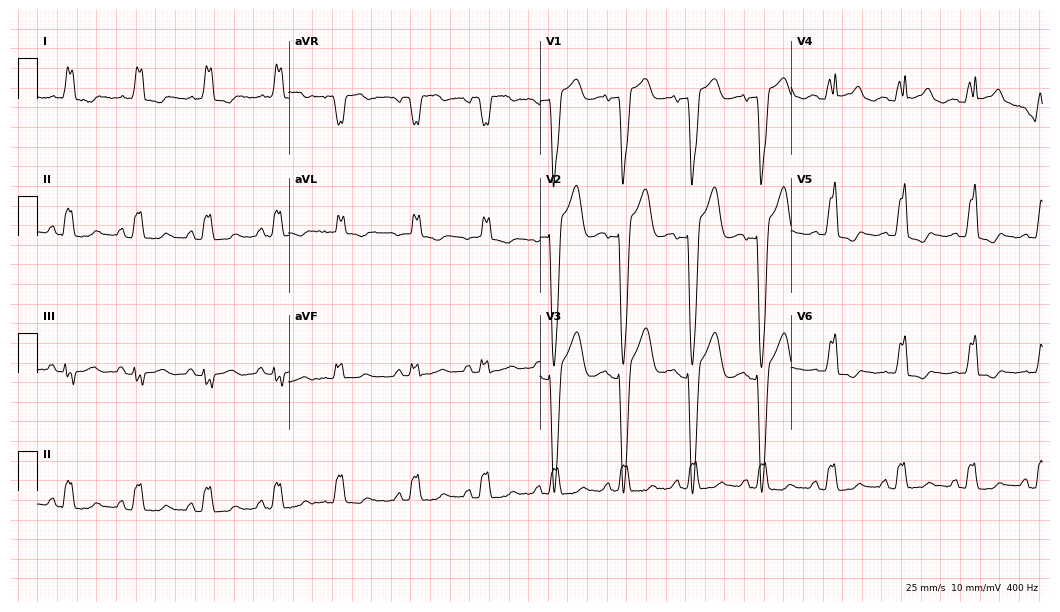
ECG — an 82-year-old female patient. Findings include left bundle branch block (LBBB).